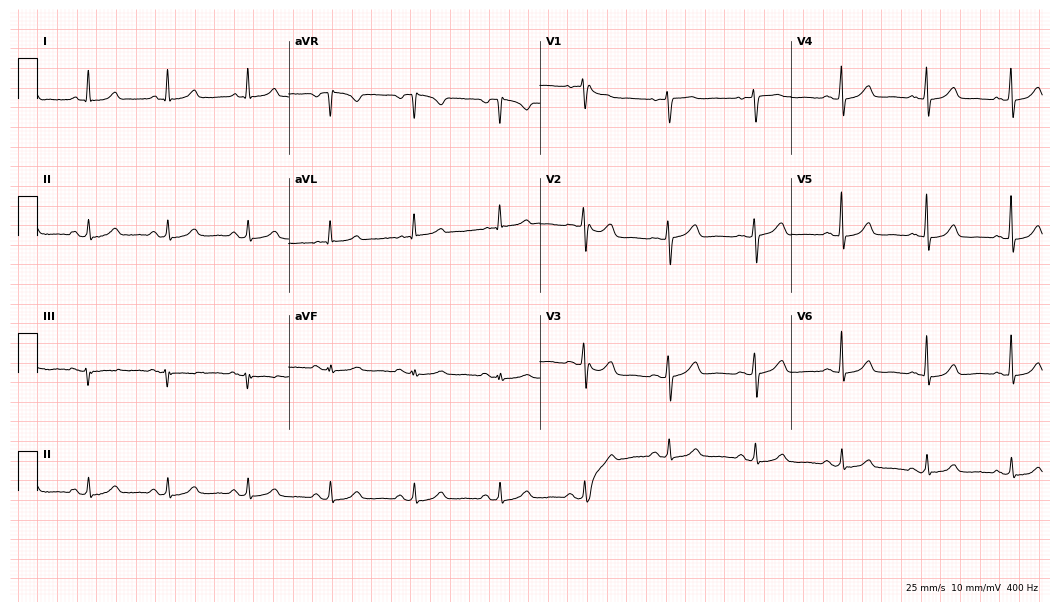
Standard 12-lead ECG recorded from a 51-year-old woman. Read as a normal ECG.